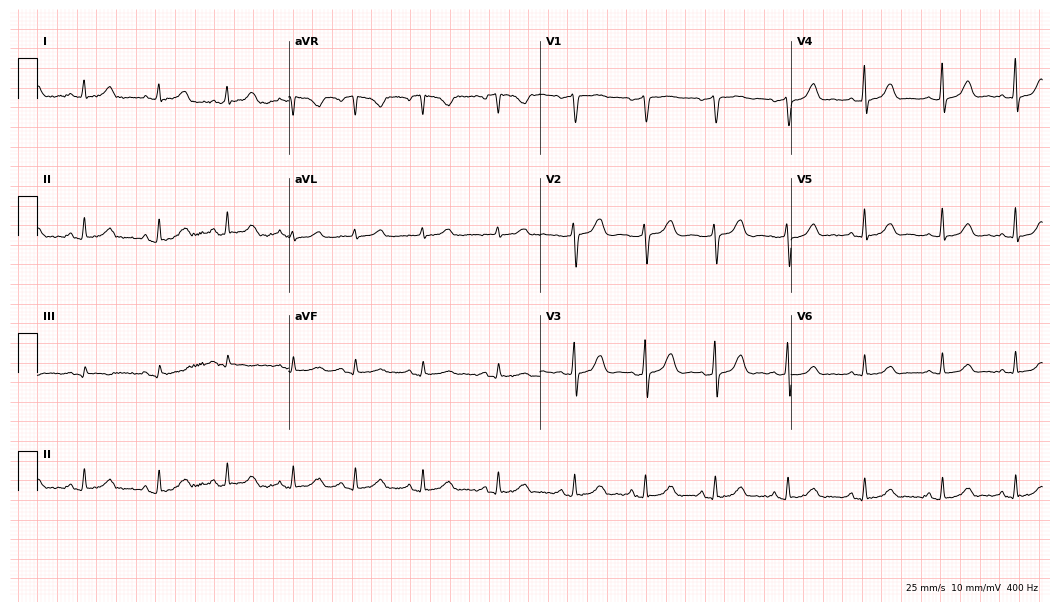
Standard 12-lead ECG recorded from a 58-year-old female. Read as a normal ECG.